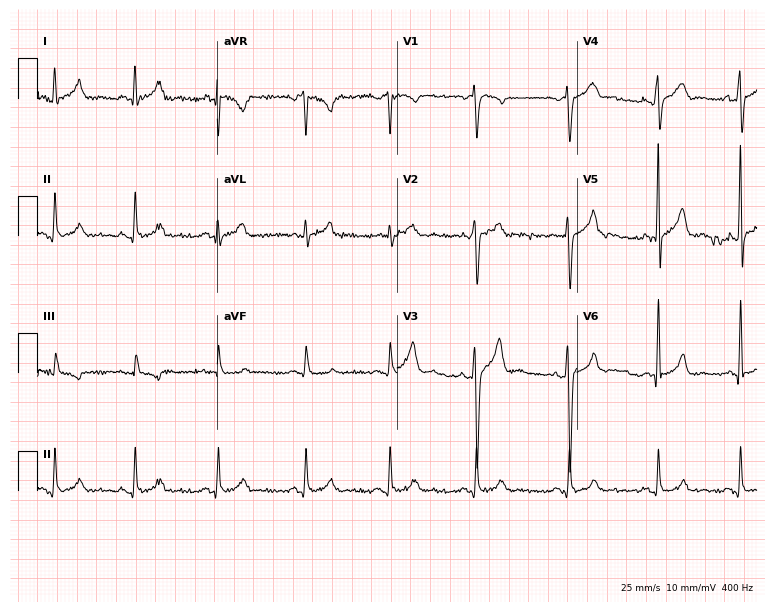
12-lead ECG (7.3-second recording at 400 Hz) from a 32-year-old male. Screened for six findings — first-degree AV block, right bundle branch block, left bundle branch block, sinus bradycardia, atrial fibrillation, sinus tachycardia — none is recorded. Other findings, if any, are not listed.